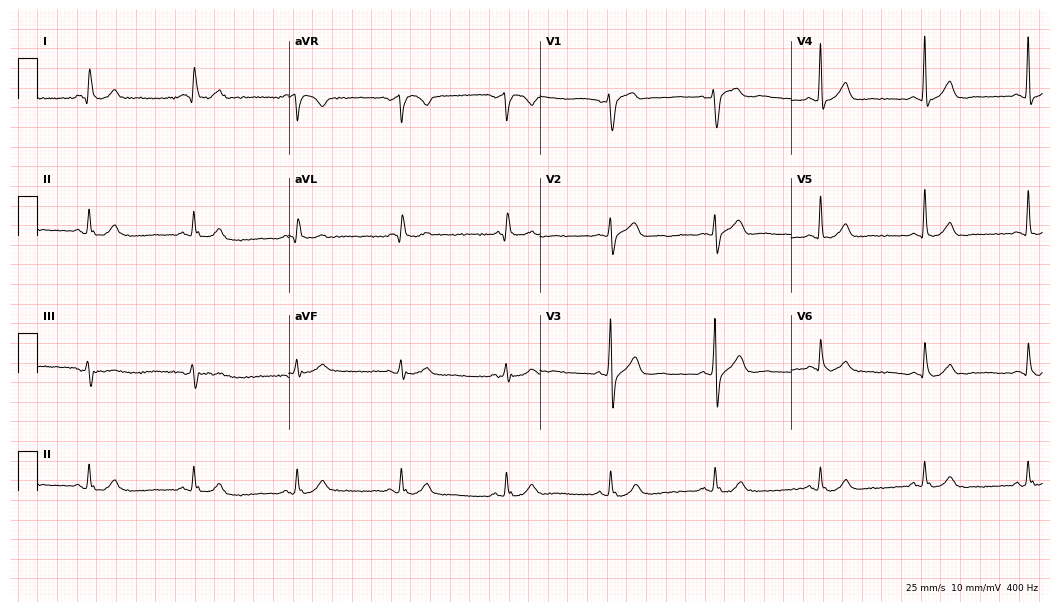
12-lead ECG from a 60-year-old man (10.2-second recording at 400 Hz). Recorded interpretation: within normal limits.